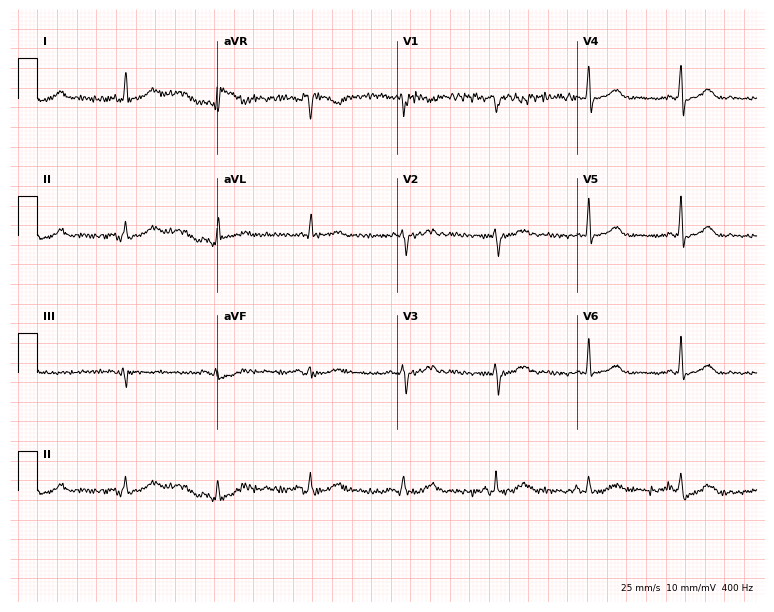
12-lead ECG from a 64-year-old female patient. Labelled as a normal ECG.